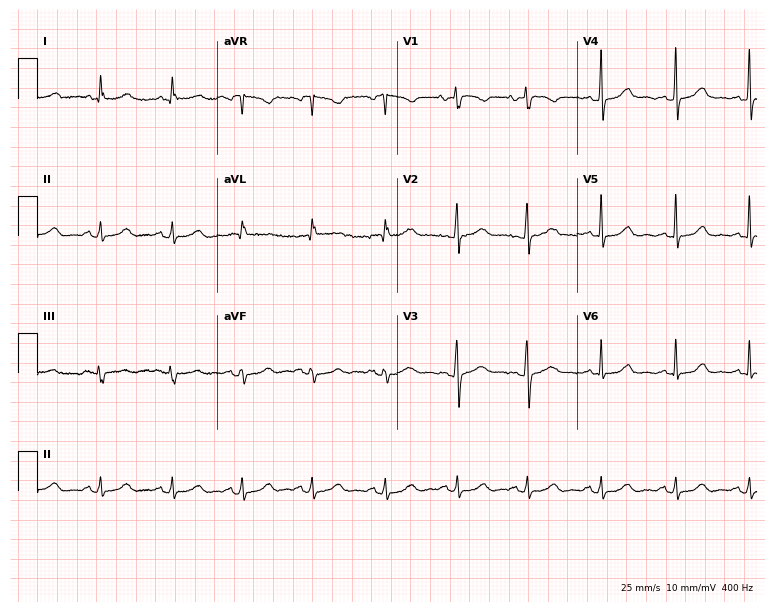
ECG — a woman, 61 years old. Screened for six findings — first-degree AV block, right bundle branch block (RBBB), left bundle branch block (LBBB), sinus bradycardia, atrial fibrillation (AF), sinus tachycardia — none is recorded. Other findings, if any, are not listed.